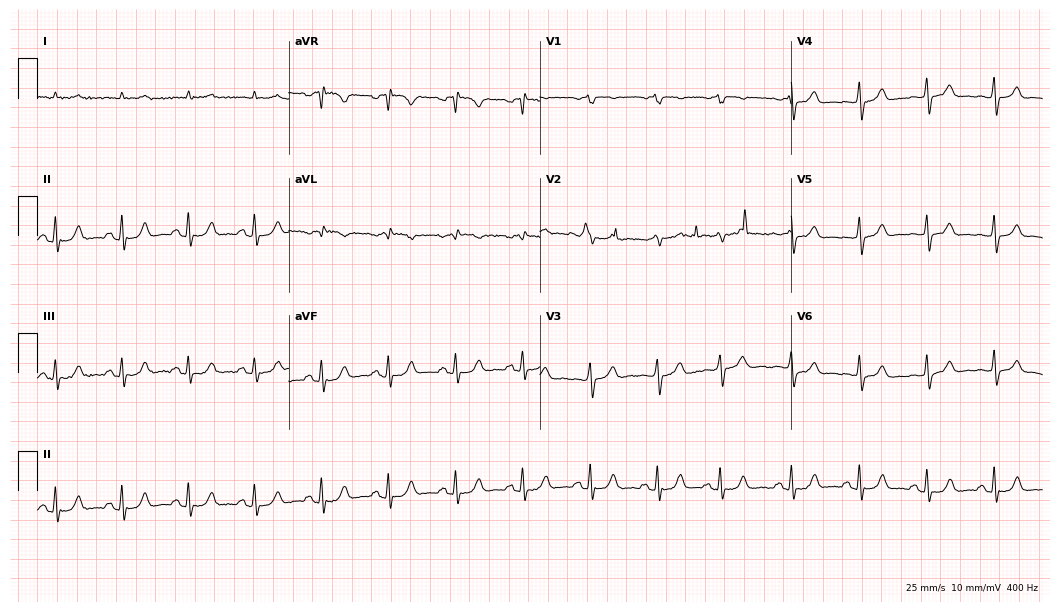
Electrocardiogram, a man, 69 years old. Overall reading on record: normal ECG.